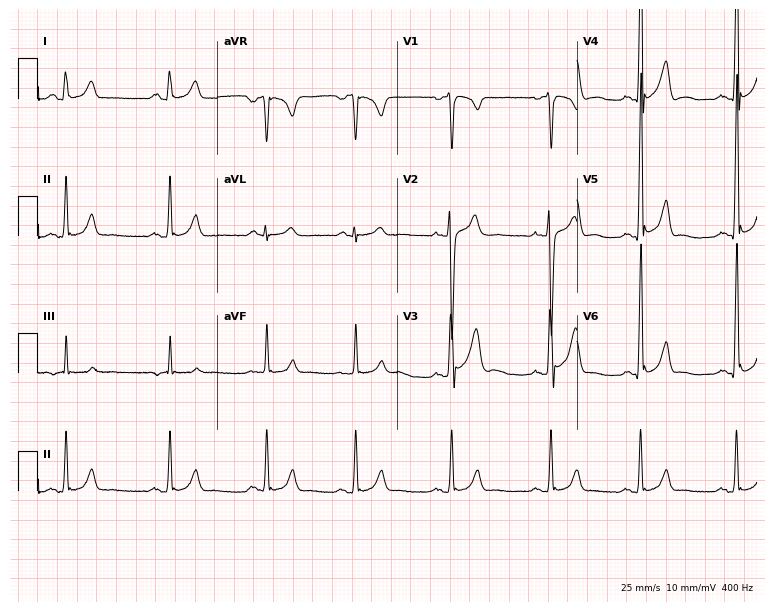
12-lead ECG from a 27-year-old man. Screened for six findings — first-degree AV block, right bundle branch block, left bundle branch block, sinus bradycardia, atrial fibrillation, sinus tachycardia — none is recorded. Findings outside these six are not listed.